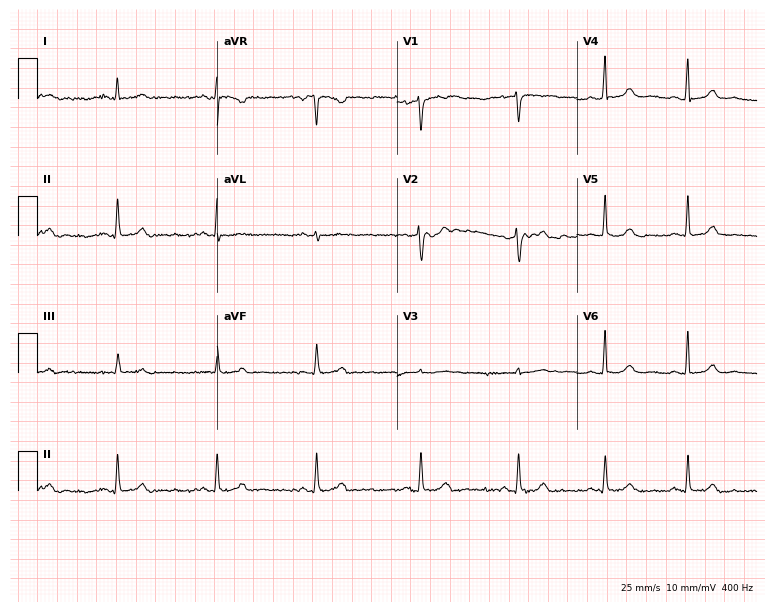
Electrocardiogram, a female patient, 40 years old. Of the six screened findings (first-degree AV block, right bundle branch block, left bundle branch block, sinus bradycardia, atrial fibrillation, sinus tachycardia), none is recorded. Findings outside these six are not listed.